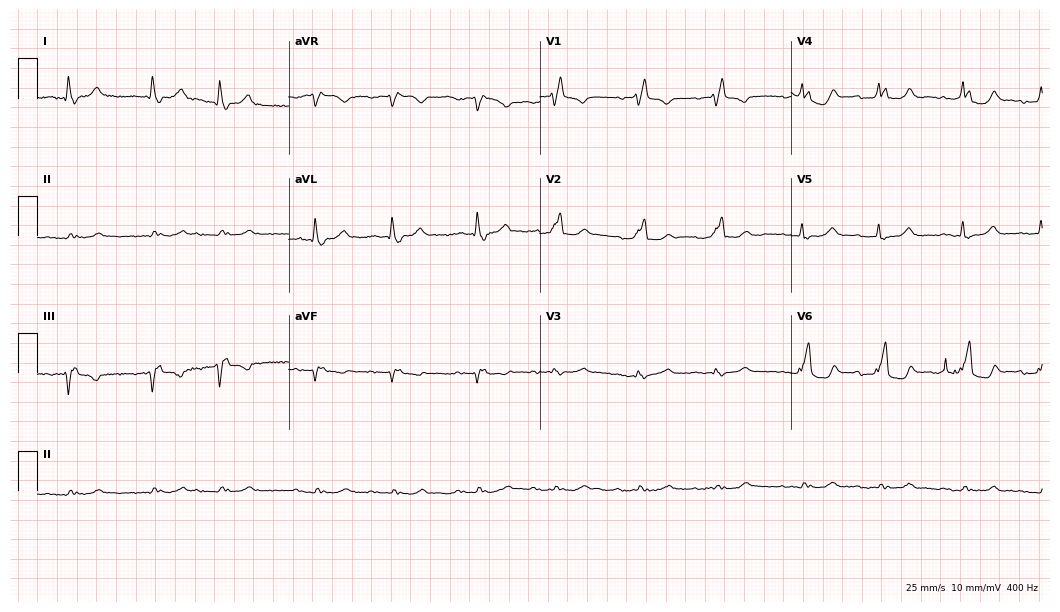
Electrocardiogram (10.2-second recording at 400 Hz), a 70-year-old man. Interpretation includes right bundle branch block.